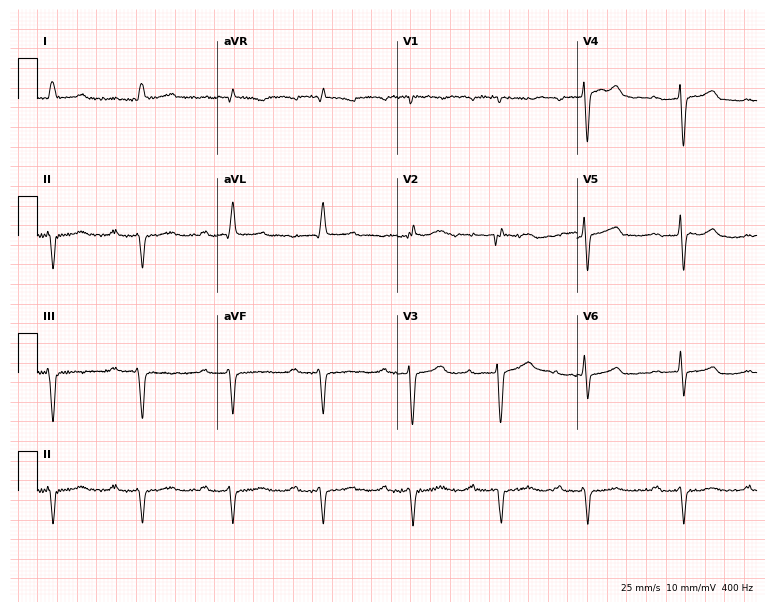
Standard 12-lead ECG recorded from an 83-year-old male (7.3-second recording at 400 Hz). None of these six findings is recorded: first-degree AV block, right bundle branch block (RBBB), left bundle branch block (LBBB), sinus bradycardia, atrial fibrillation (AF), sinus tachycardia.